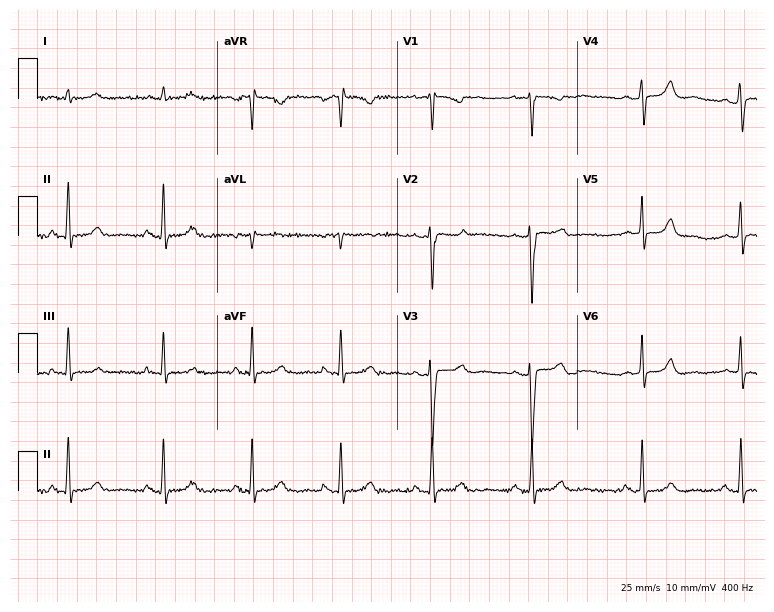
12-lead ECG from a female patient, 43 years old. Screened for six findings — first-degree AV block, right bundle branch block, left bundle branch block, sinus bradycardia, atrial fibrillation, sinus tachycardia — none is recorded.